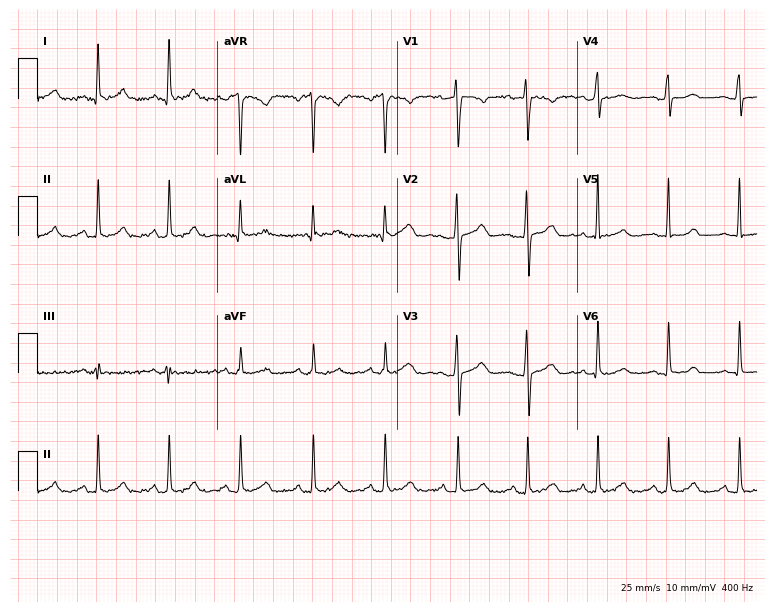
ECG (7.3-second recording at 400 Hz) — a woman, 41 years old. Labelled as a normal ECG.